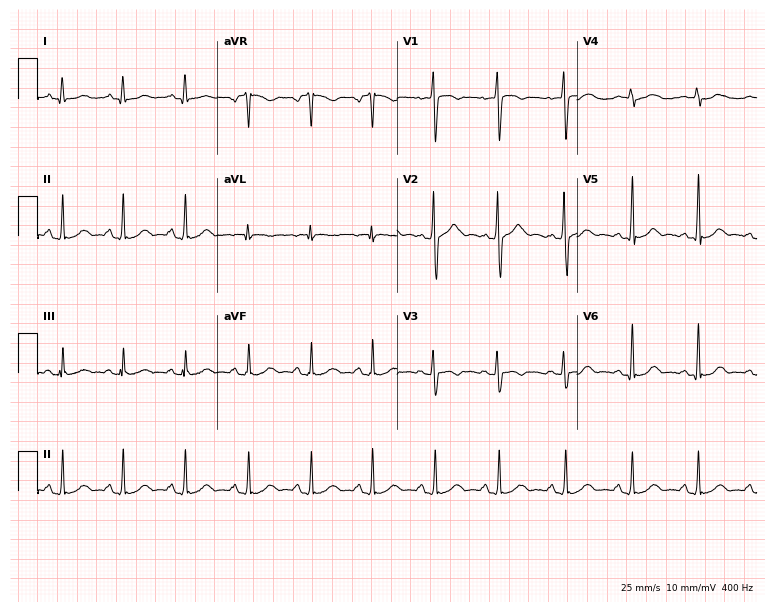
ECG — a woman, 18 years old. Labelled as a normal ECG.